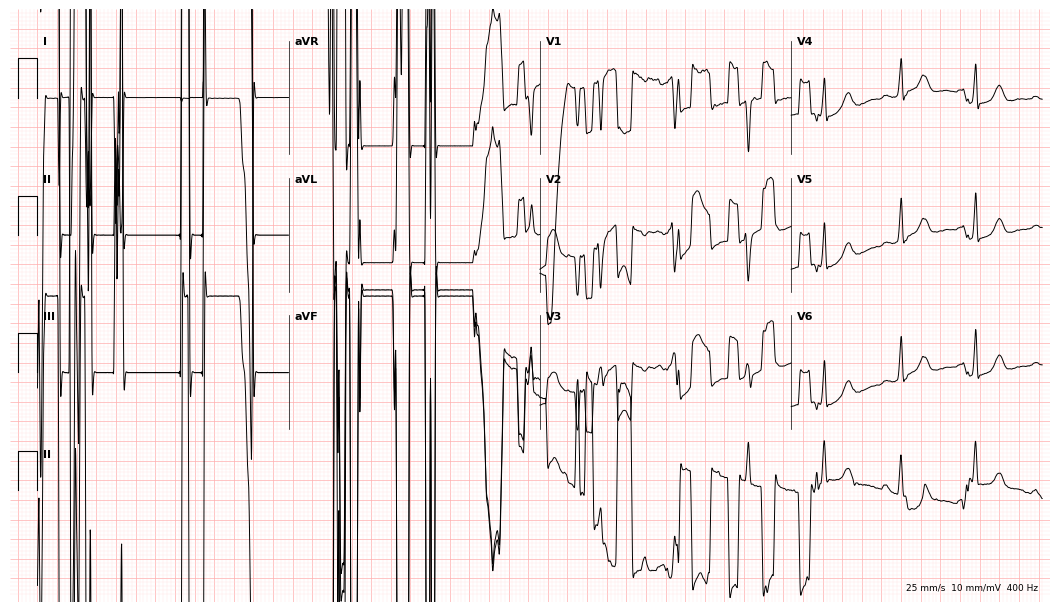
Standard 12-lead ECG recorded from a 50-year-old female (10.2-second recording at 400 Hz). None of these six findings is recorded: first-degree AV block, right bundle branch block, left bundle branch block, sinus bradycardia, atrial fibrillation, sinus tachycardia.